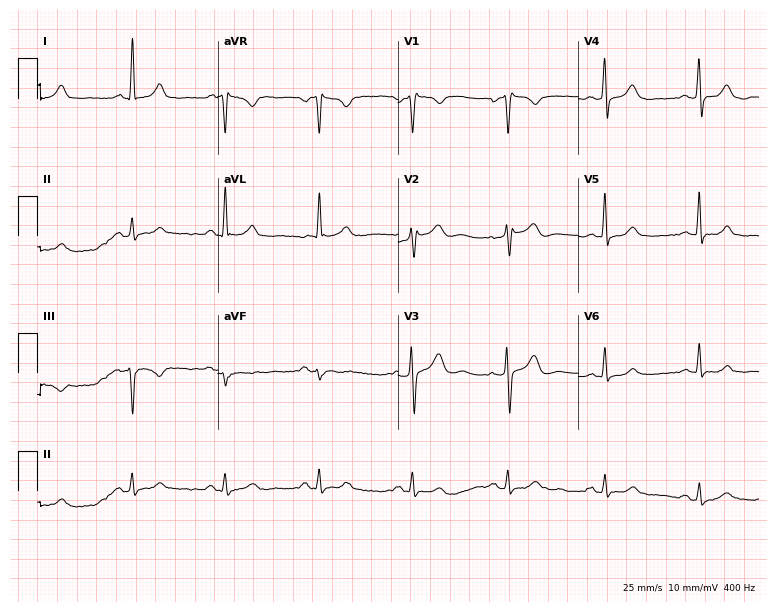
ECG — a man, 71 years old. Screened for six findings — first-degree AV block, right bundle branch block, left bundle branch block, sinus bradycardia, atrial fibrillation, sinus tachycardia — none is recorded. Findings outside these six are not listed.